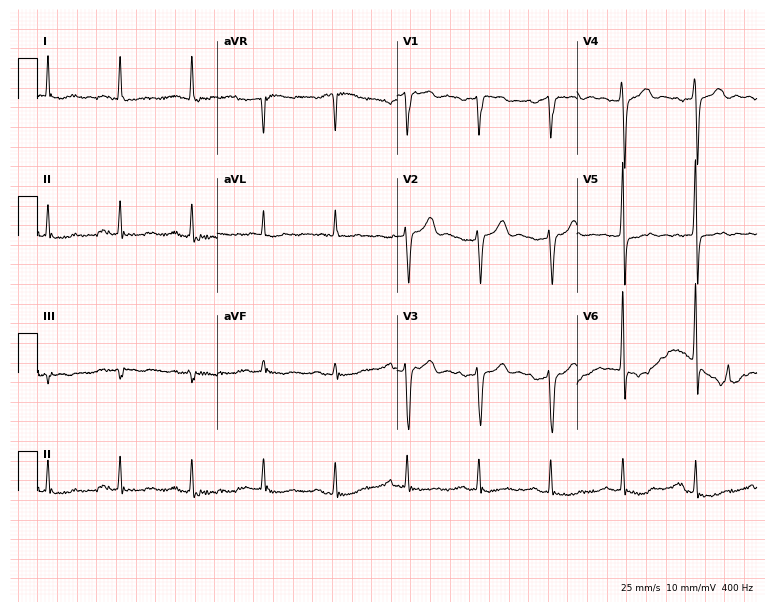
Standard 12-lead ECG recorded from a male patient, 82 years old (7.3-second recording at 400 Hz). None of these six findings is recorded: first-degree AV block, right bundle branch block, left bundle branch block, sinus bradycardia, atrial fibrillation, sinus tachycardia.